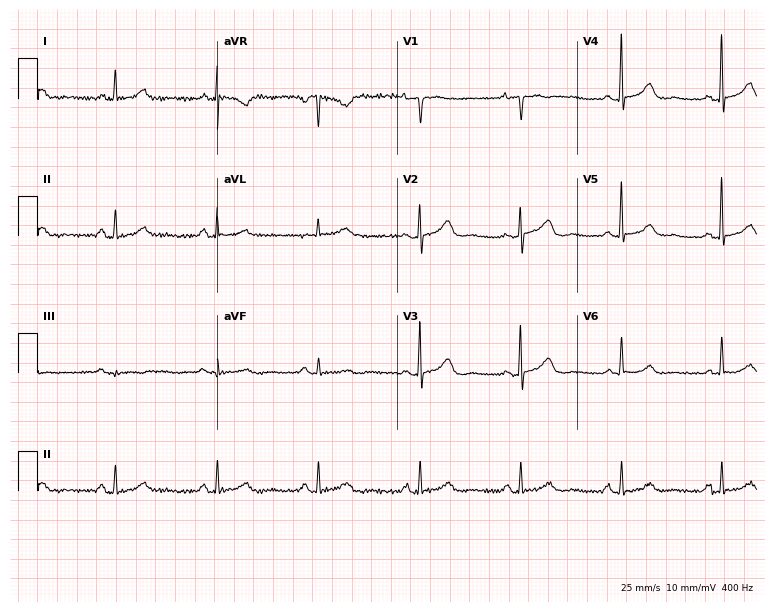
12-lead ECG from a 76-year-old woman. No first-degree AV block, right bundle branch block, left bundle branch block, sinus bradycardia, atrial fibrillation or sinus tachycardia recorded for this tracing. Only these six findings were labelled.